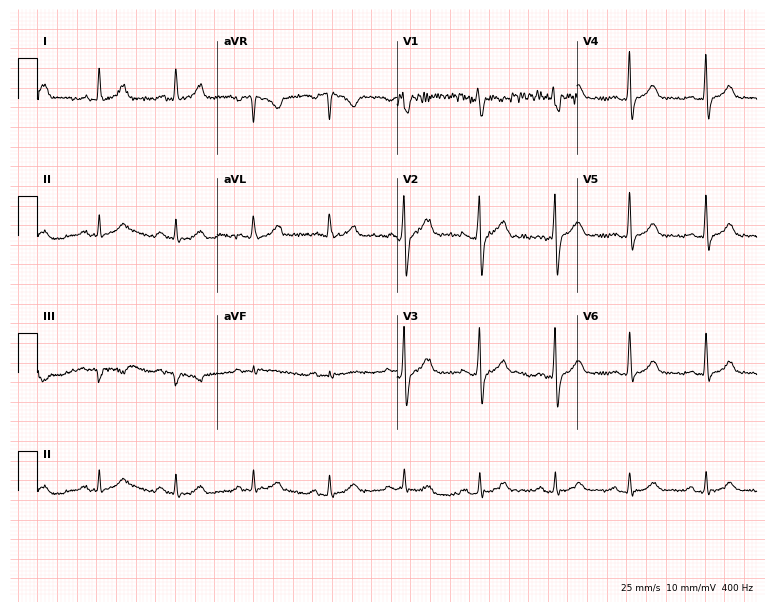
Standard 12-lead ECG recorded from a 28-year-old male patient (7.3-second recording at 400 Hz). Read as a normal ECG.